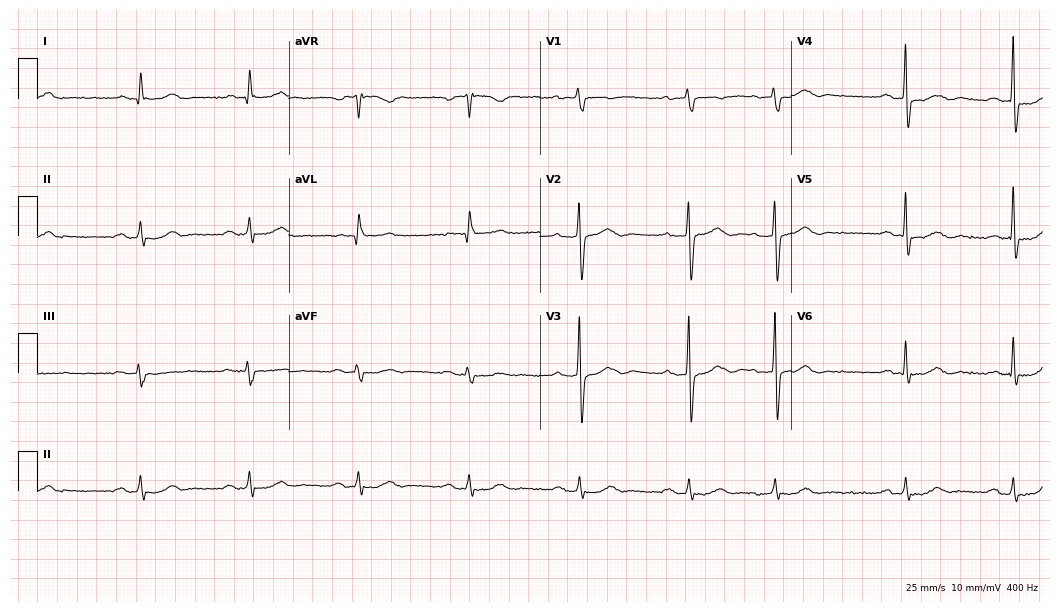
Standard 12-lead ECG recorded from an 83-year-old male patient. Read as a normal ECG.